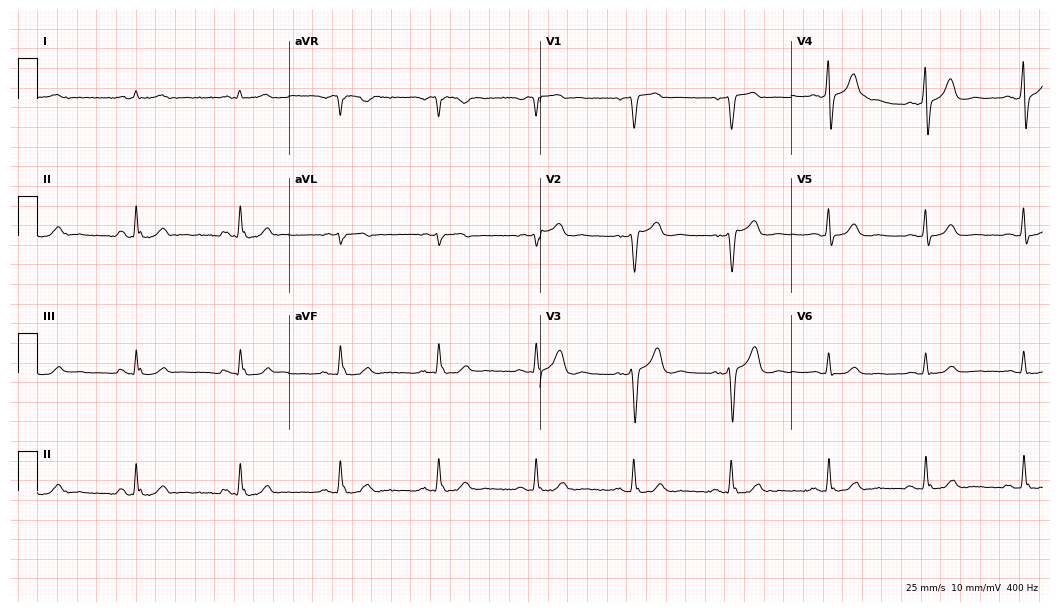
12-lead ECG from a 63-year-old man. Labelled as a normal ECG.